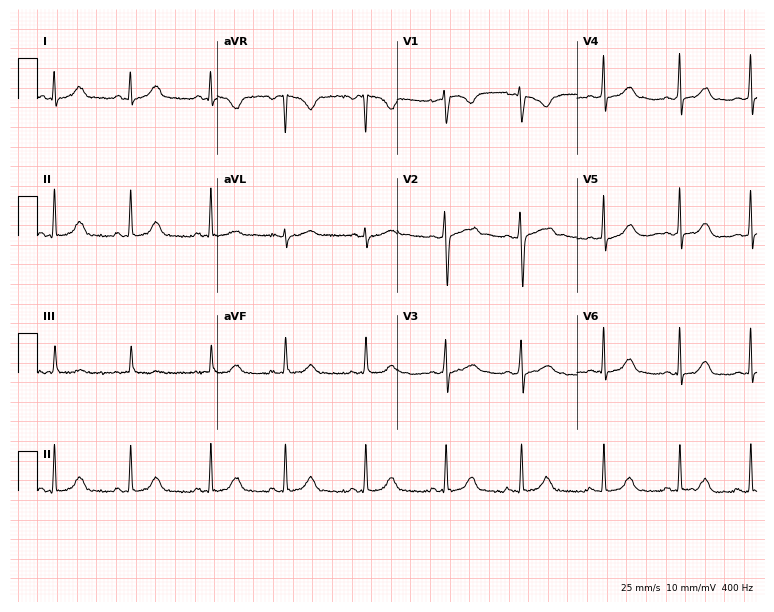
12-lead ECG from a female, 18 years old. Labelled as a normal ECG.